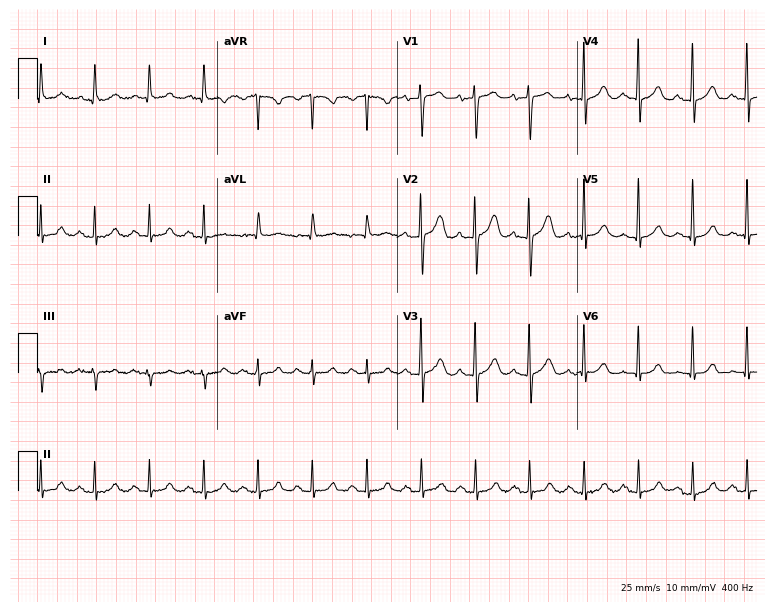
ECG (7.3-second recording at 400 Hz) — a 60-year-old male. Findings include sinus tachycardia (a sinus rate of 100 beats per minute or more).